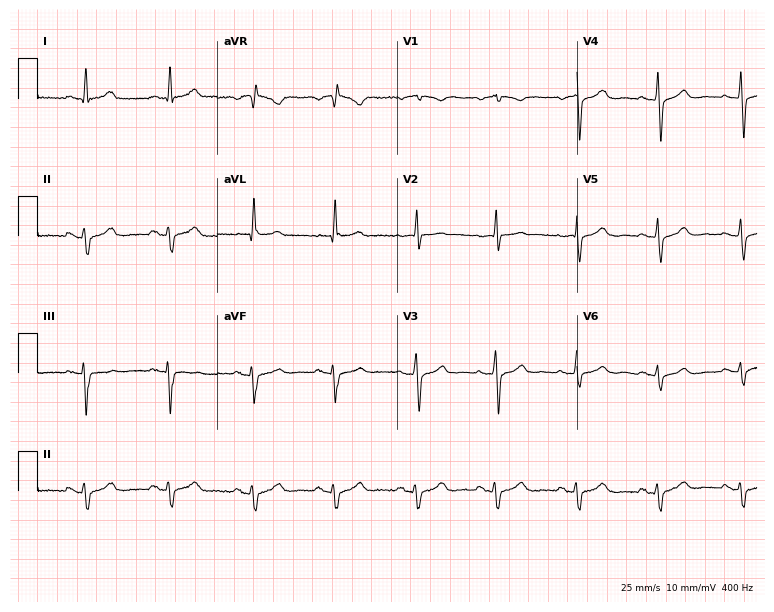
ECG (7.3-second recording at 400 Hz) — a male, 68 years old. Screened for six findings — first-degree AV block, right bundle branch block, left bundle branch block, sinus bradycardia, atrial fibrillation, sinus tachycardia — none is recorded. Other findings, if any, are not listed.